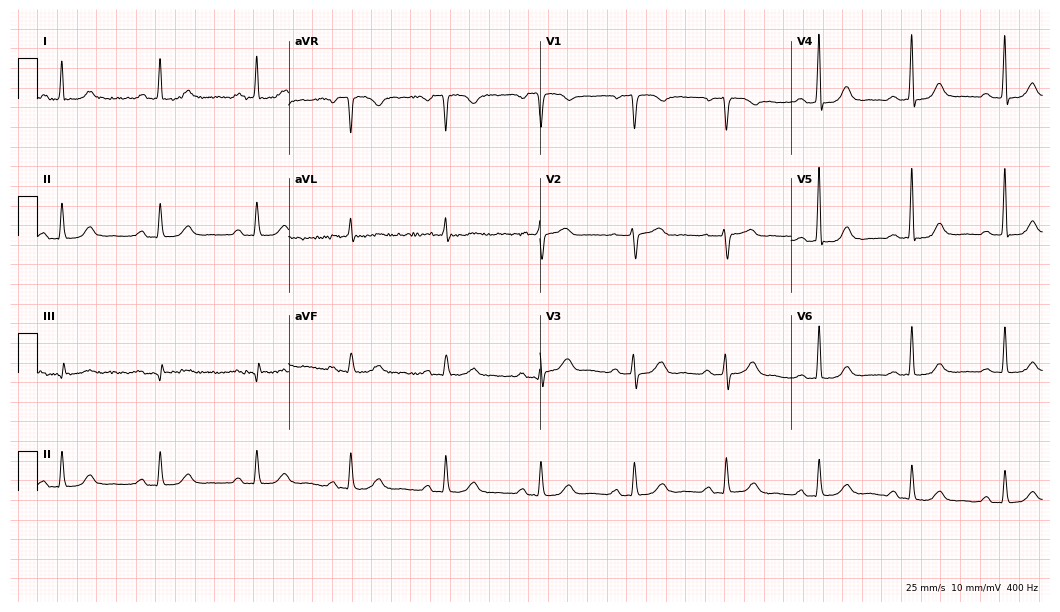
12-lead ECG from a female, 63 years old. Labelled as a normal ECG.